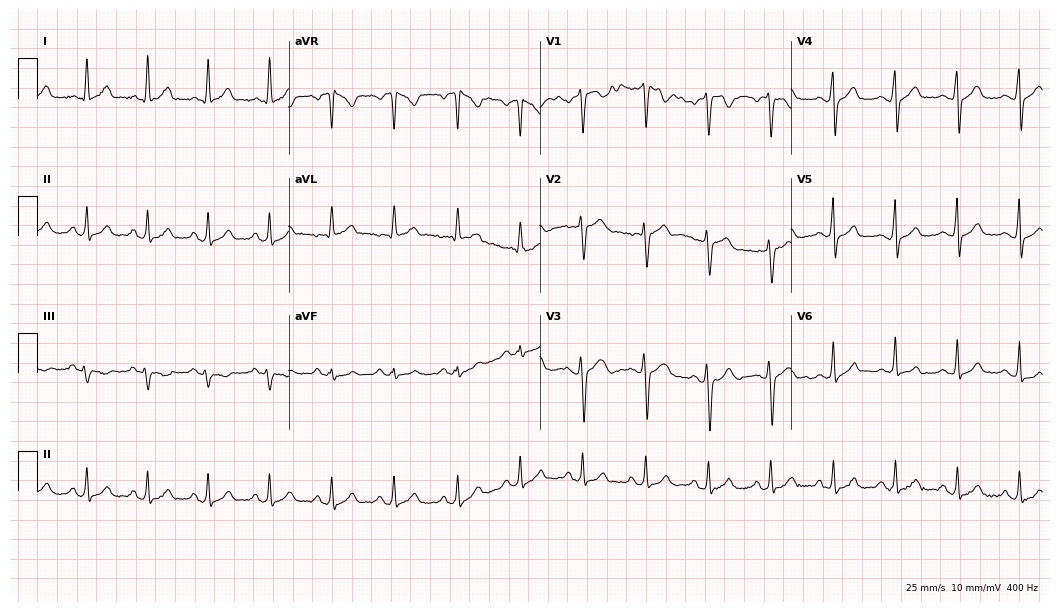
12-lead ECG from a 23-year-old male patient. Labelled as a normal ECG.